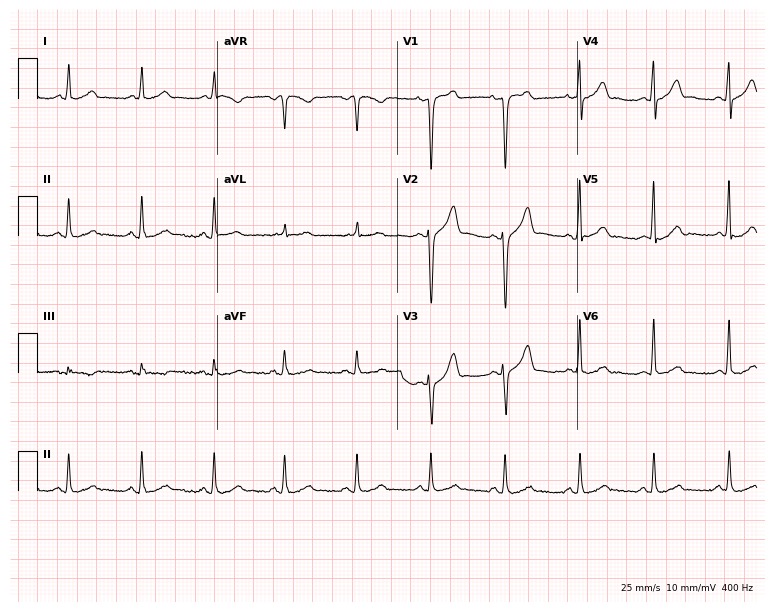
Electrocardiogram, a 49-year-old male. Overall reading on record: normal ECG.